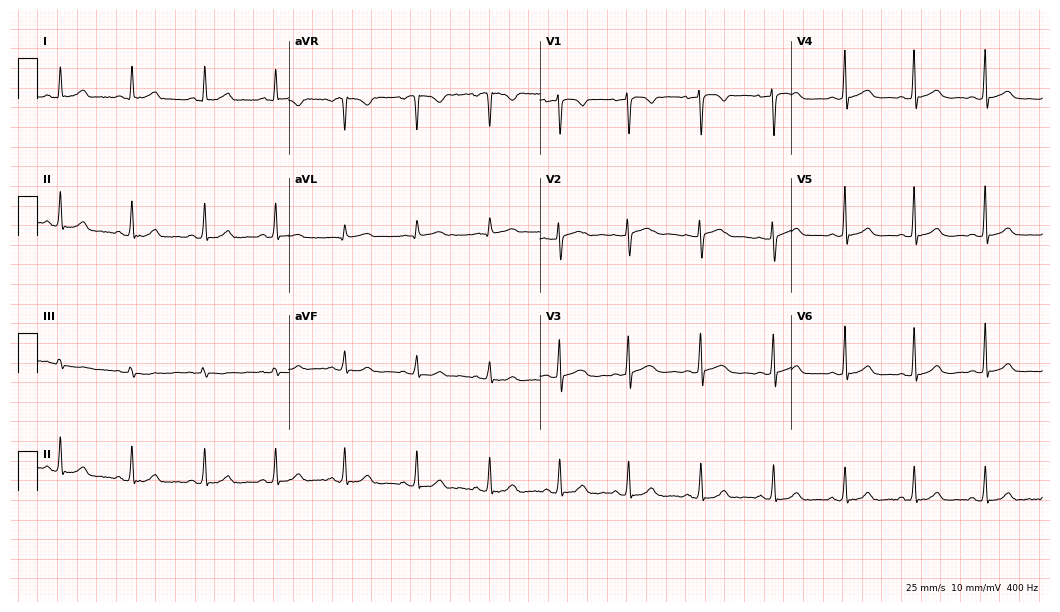
12-lead ECG from a woman, 27 years old. Screened for six findings — first-degree AV block, right bundle branch block, left bundle branch block, sinus bradycardia, atrial fibrillation, sinus tachycardia — none is recorded. Findings outside these six are not listed.